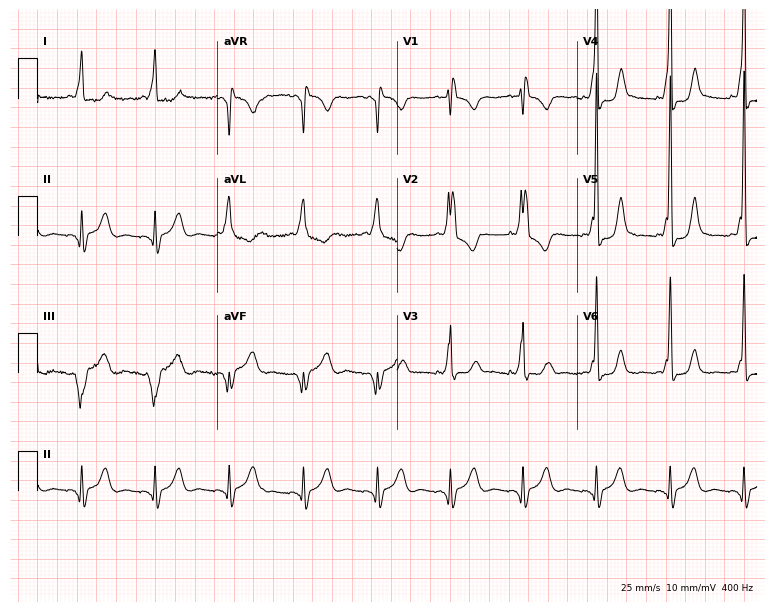
ECG (7.3-second recording at 400 Hz) — a female, 46 years old. Screened for six findings — first-degree AV block, right bundle branch block, left bundle branch block, sinus bradycardia, atrial fibrillation, sinus tachycardia — none is recorded.